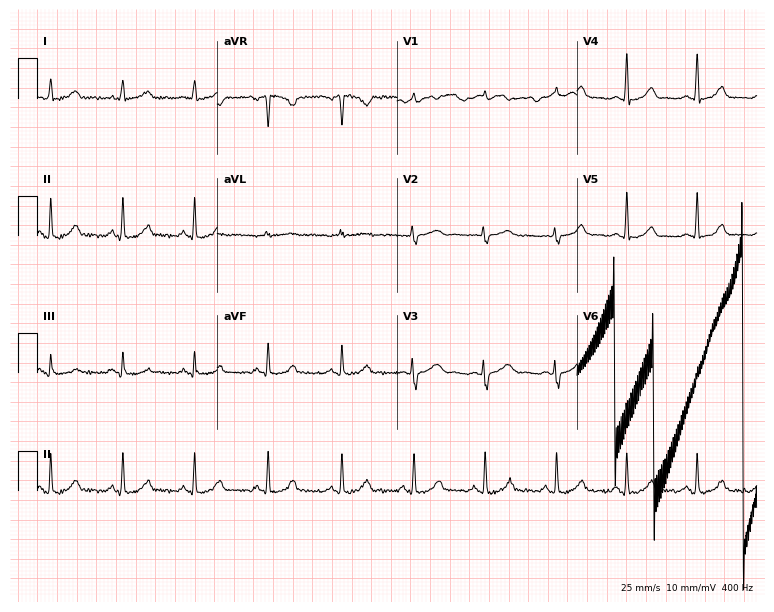
12-lead ECG (7.3-second recording at 400 Hz) from a female, 40 years old. Screened for six findings — first-degree AV block, right bundle branch block, left bundle branch block, sinus bradycardia, atrial fibrillation, sinus tachycardia — none is recorded. Findings outside these six are not listed.